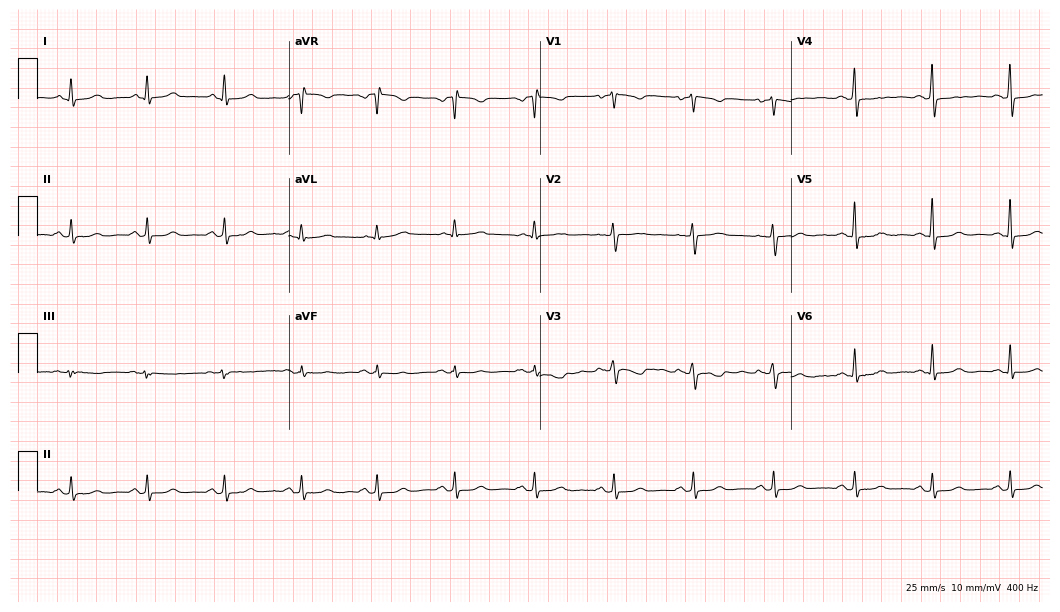
12-lead ECG from a 53-year-old female. Recorded interpretation: within normal limits.